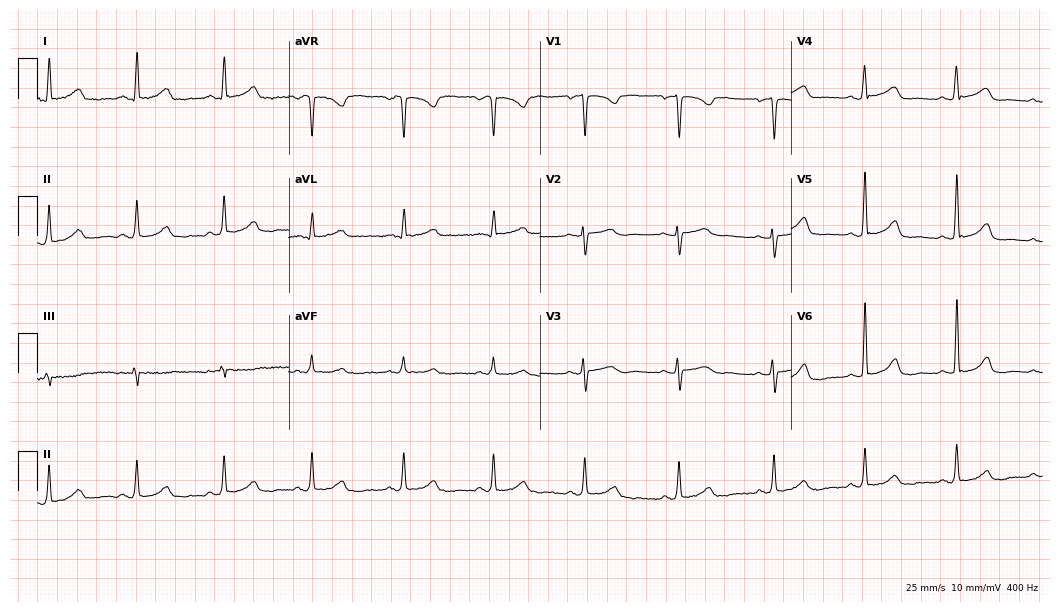
Resting 12-lead electrocardiogram (10.2-second recording at 400 Hz). Patient: a female, 41 years old. None of these six findings is recorded: first-degree AV block, right bundle branch block, left bundle branch block, sinus bradycardia, atrial fibrillation, sinus tachycardia. Only these six findings were labelled.